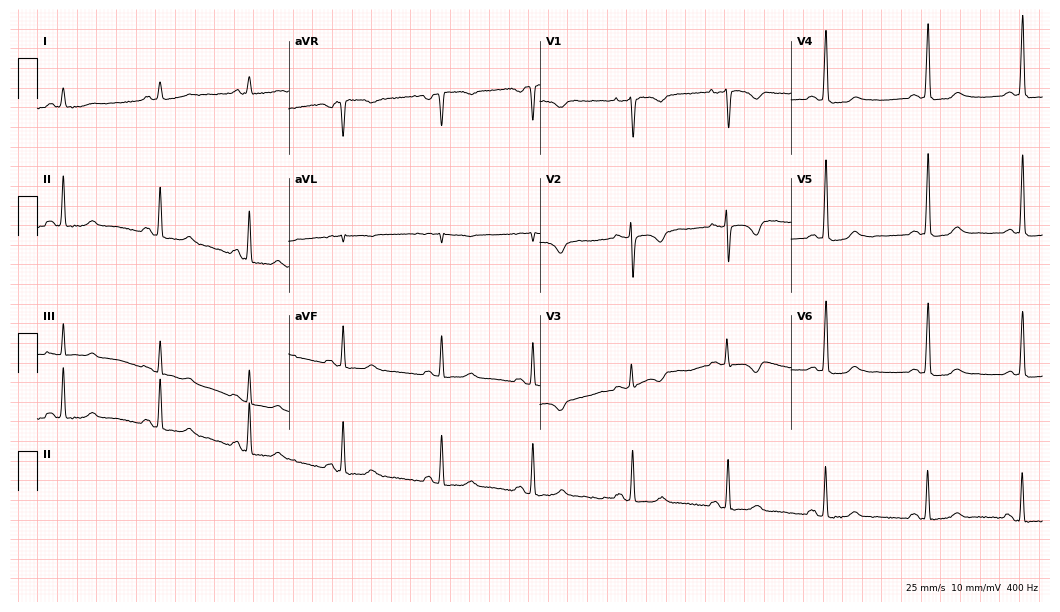
Standard 12-lead ECG recorded from a woman, 36 years old. None of these six findings is recorded: first-degree AV block, right bundle branch block (RBBB), left bundle branch block (LBBB), sinus bradycardia, atrial fibrillation (AF), sinus tachycardia. Findings outside these six are not listed.